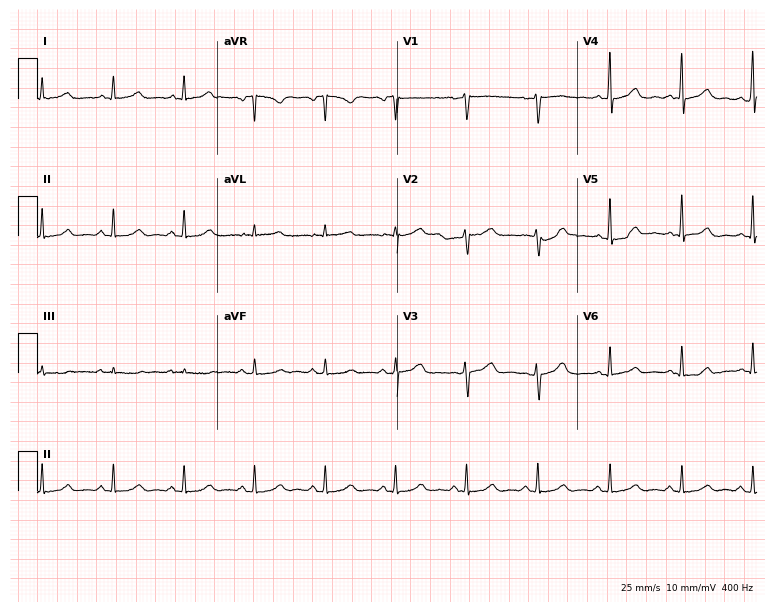
Electrocardiogram (7.3-second recording at 400 Hz), a 37-year-old female patient. Overall reading on record: normal ECG.